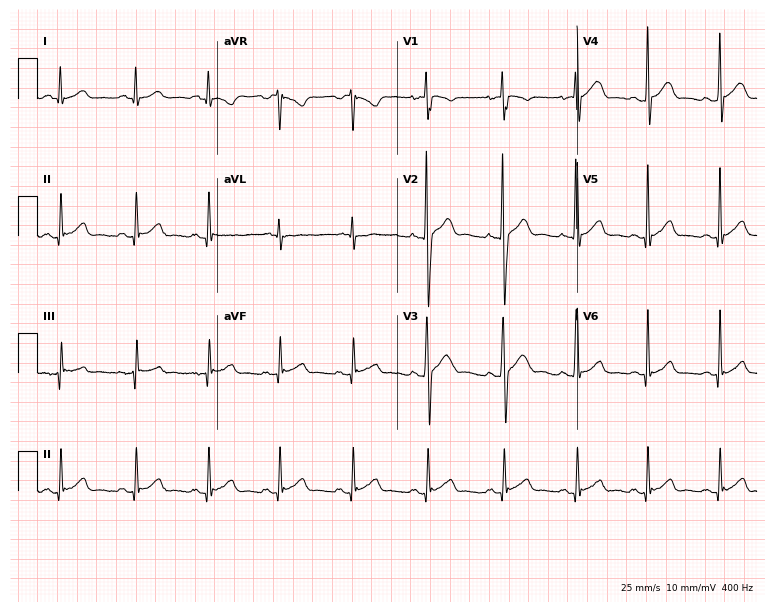
Standard 12-lead ECG recorded from a 19-year-old male patient. None of these six findings is recorded: first-degree AV block, right bundle branch block, left bundle branch block, sinus bradycardia, atrial fibrillation, sinus tachycardia.